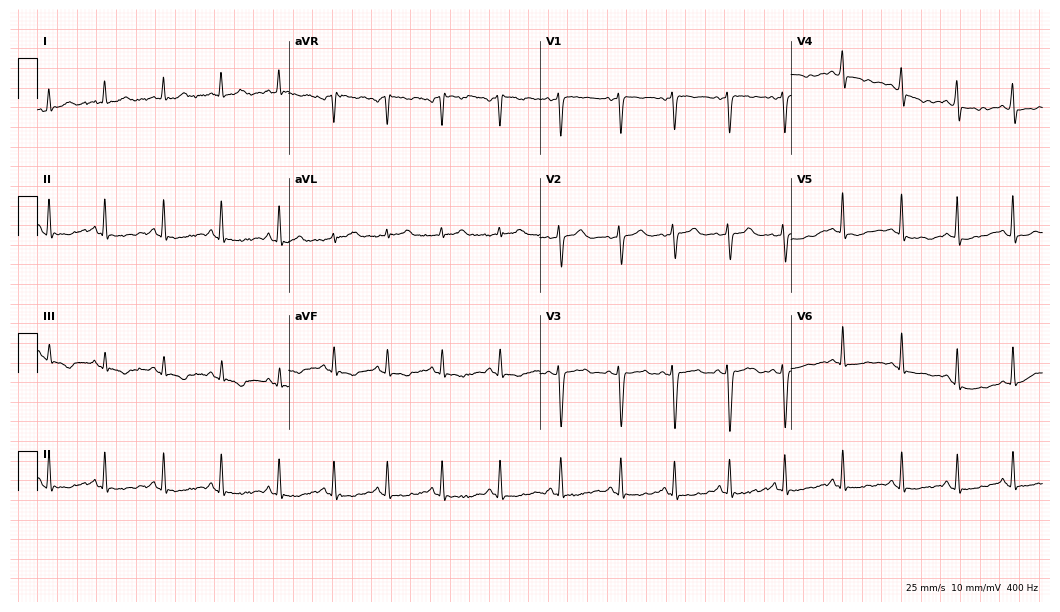
Electrocardiogram, a 28-year-old woman. Of the six screened findings (first-degree AV block, right bundle branch block (RBBB), left bundle branch block (LBBB), sinus bradycardia, atrial fibrillation (AF), sinus tachycardia), none is recorded. Findings outside these six are not listed.